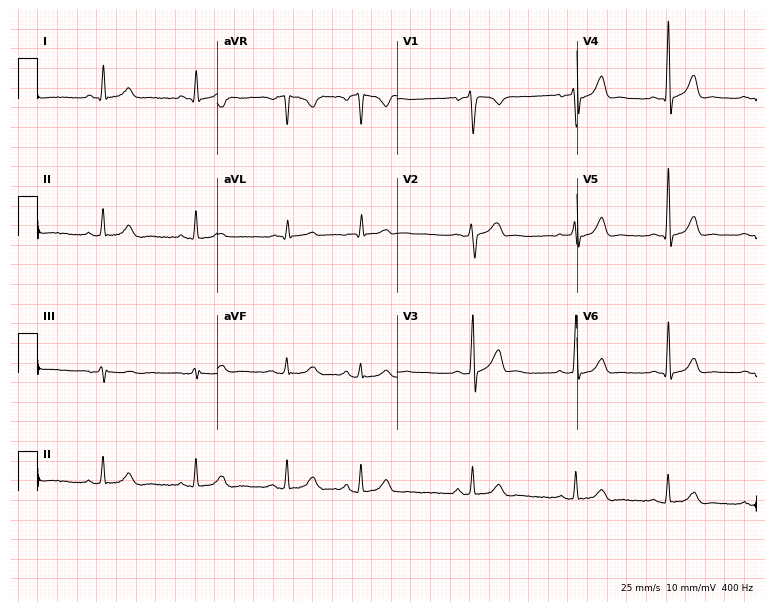
12-lead ECG from a male, 41 years old. Screened for six findings — first-degree AV block, right bundle branch block, left bundle branch block, sinus bradycardia, atrial fibrillation, sinus tachycardia — none is recorded. Only these six findings were labelled.